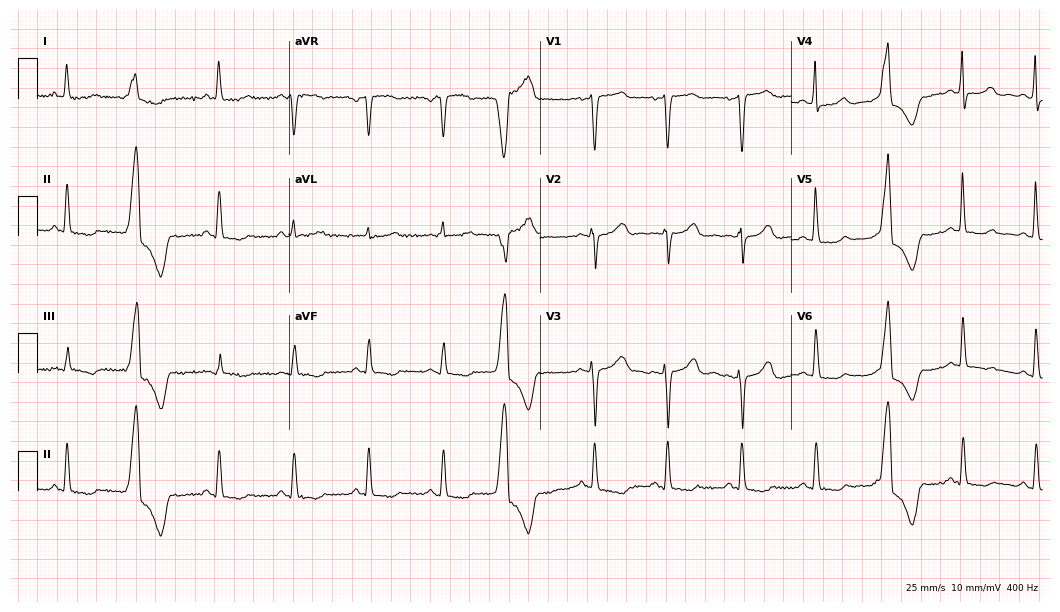
12-lead ECG (10.2-second recording at 400 Hz) from a woman, 65 years old. Screened for six findings — first-degree AV block, right bundle branch block, left bundle branch block, sinus bradycardia, atrial fibrillation, sinus tachycardia — none is recorded. Findings outside these six are not listed.